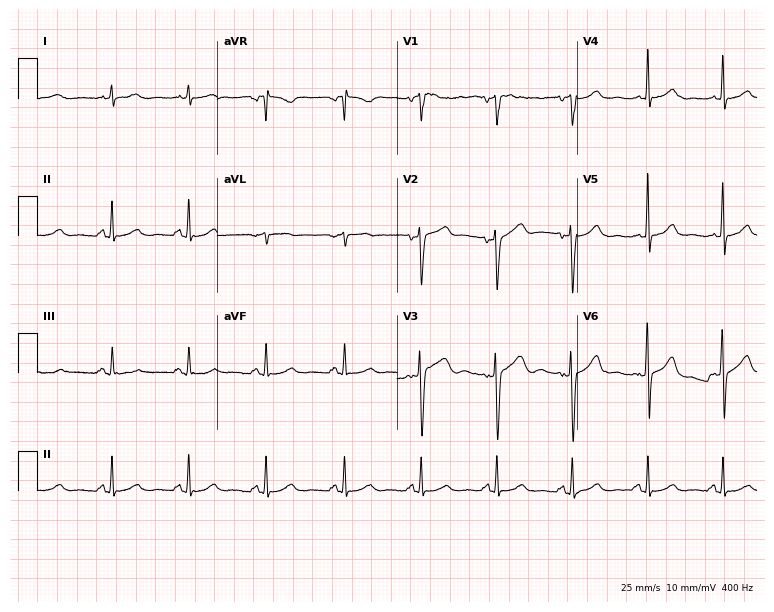
12-lead ECG (7.3-second recording at 400 Hz) from a male, 28 years old. Screened for six findings — first-degree AV block, right bundle branch block, left bundle branch block, sinus bradycardia, atrial fibrillation, sinus tachycardia — none is recorded. Findings outside these six are not listed.